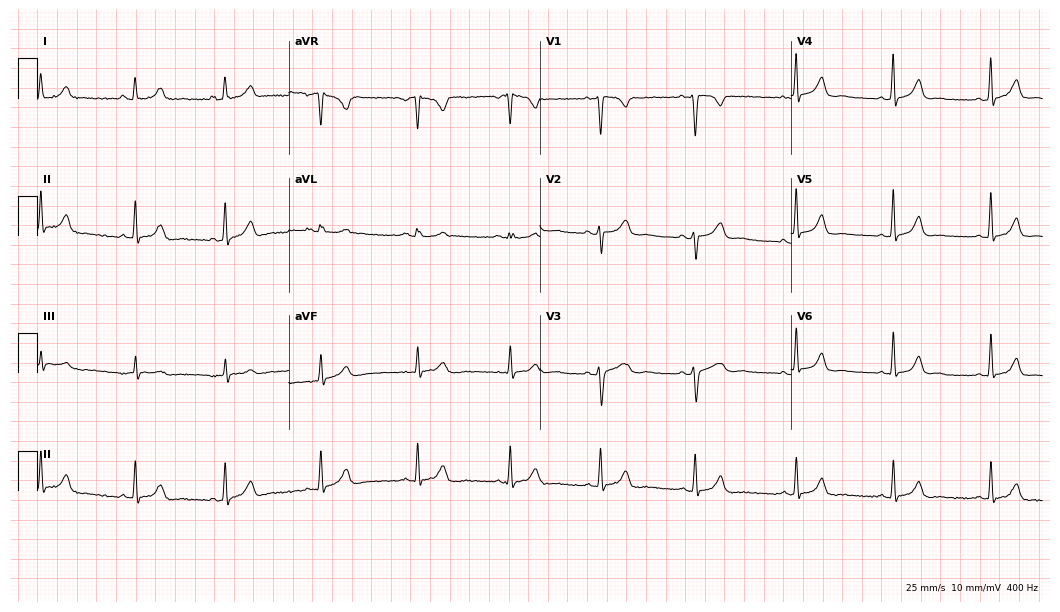
Resting 12-lead electrocardiogram (10.2-second recording at 400 Hz). Patient: a 31-year-old female. Read as a normal ECG.